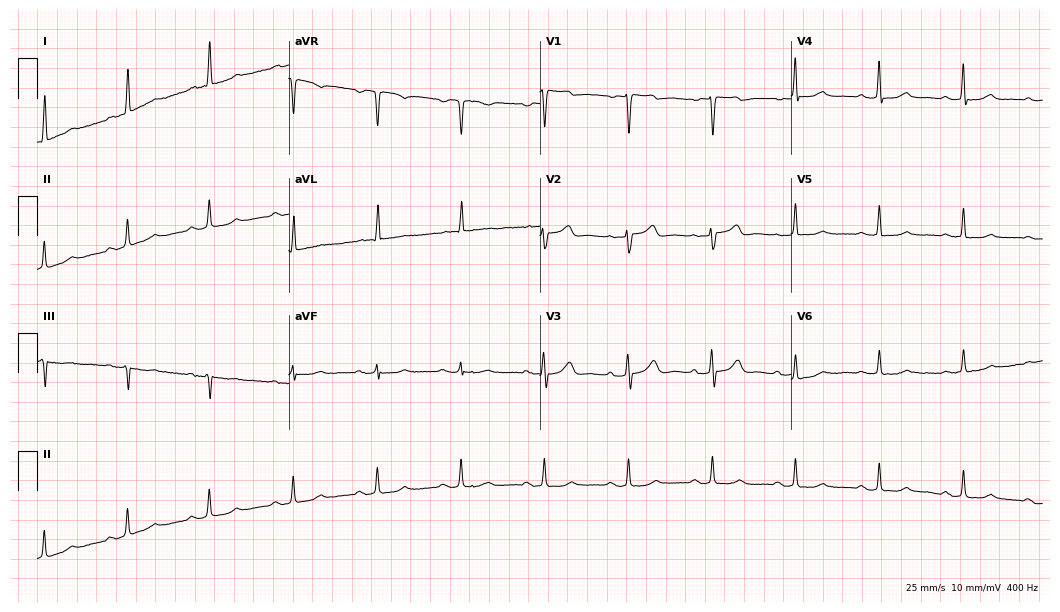
Electrocardiogram, a 72-year-old woman. Overall reading on record: normal ECG.